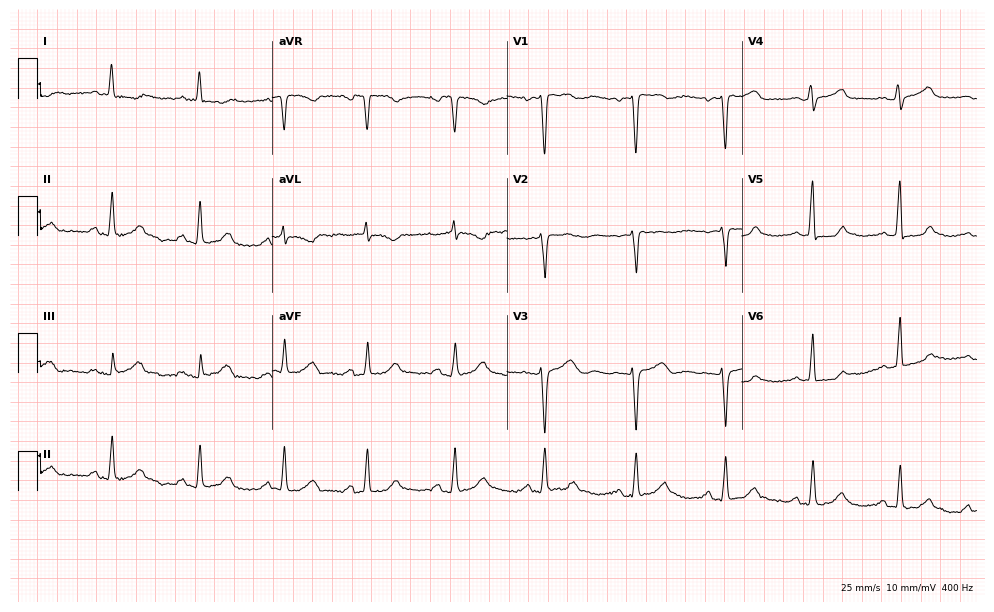
Electrocardiogram, a 54-year-old female. Of the six screened findings (first-degree AV block, right bundle branch block, left bundle branch block, sinus bradycardia, atrial fibrillation, sinus tachycardia), none is recorded. Findings outside these six are not listed.